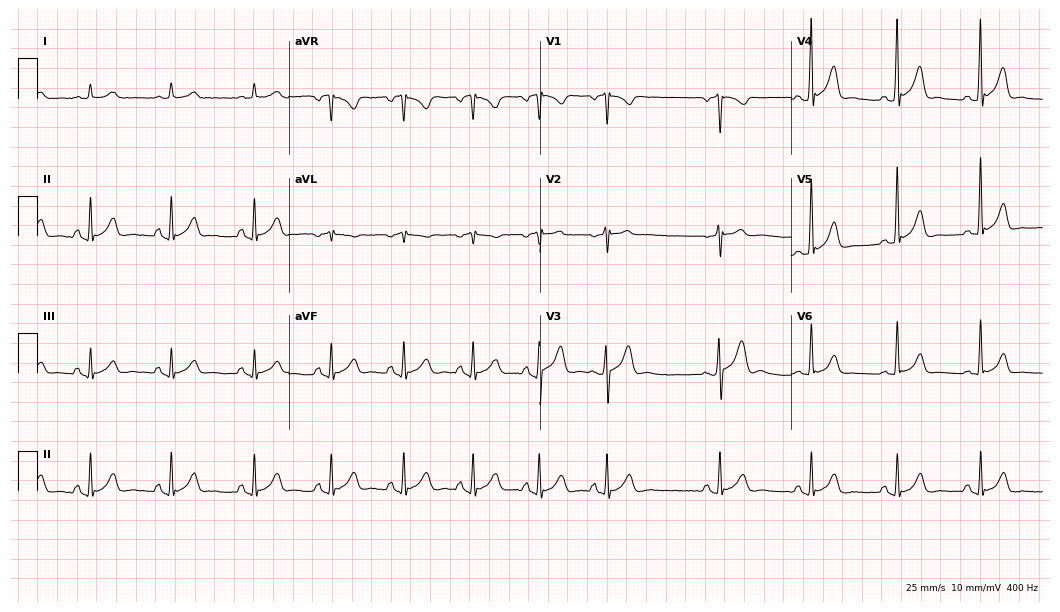
12-lead ECG from a male patient, 21 years old. Labelled as a normal ECG.